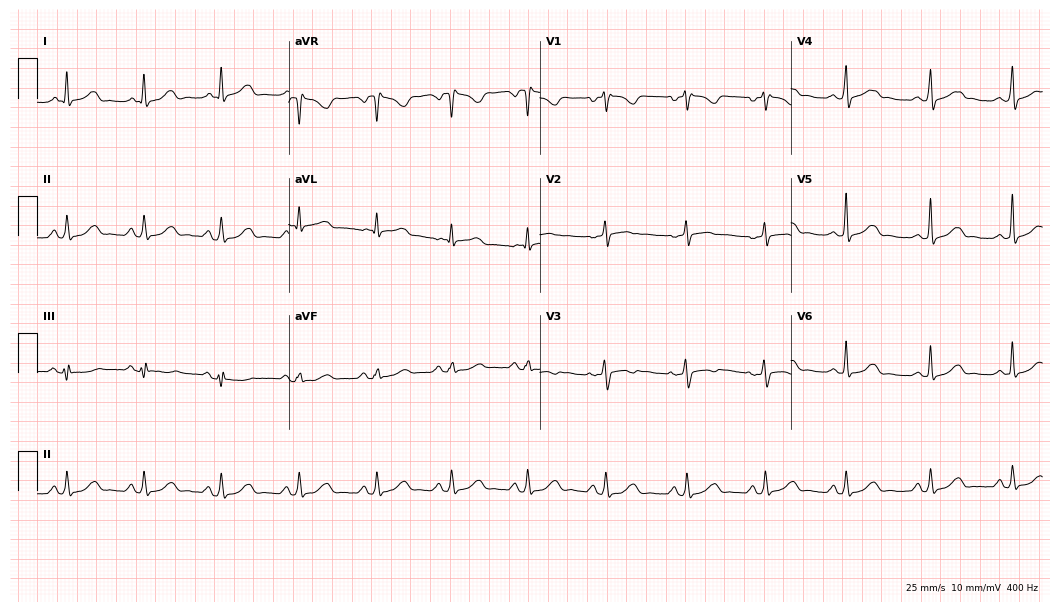
12-lead ECG from a woman, 42 years old (10.2-second recording at 400 Hz). No first-degree AV block, right bundle branch block (RBBB), left bundle branch block (LBBB), sinus bradycardia, atrial fibrillation (AF) or sinus tachycardia recorded for this tracing.